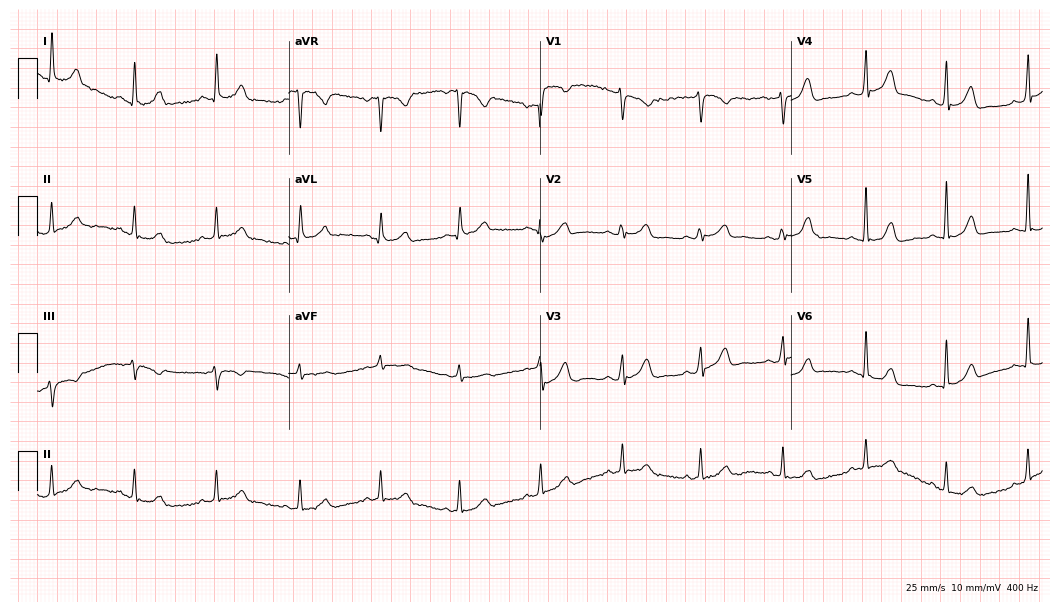
ECG — a 47-year-old female patient. Labelled as a normal ECG.